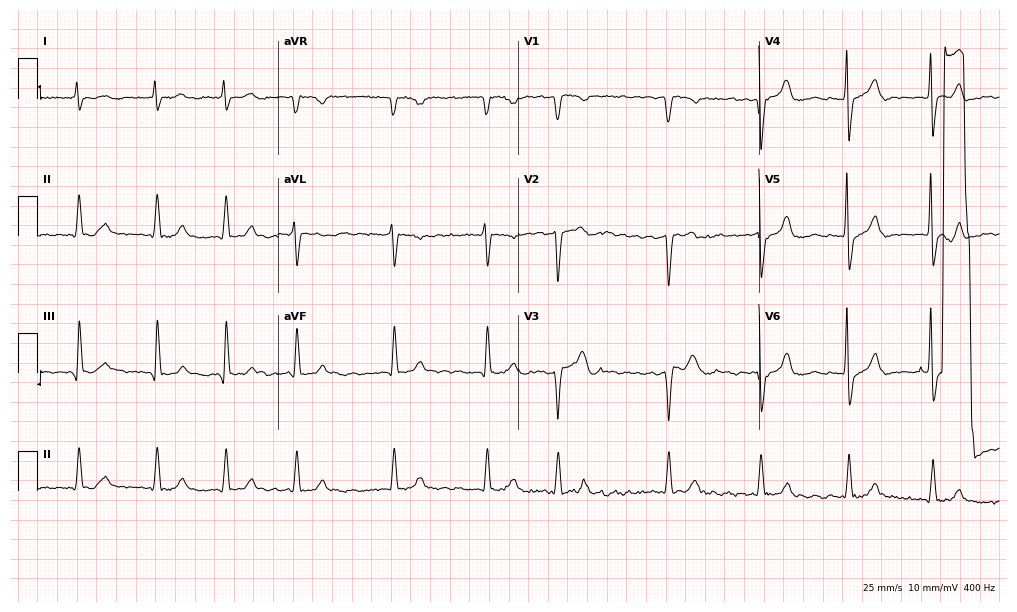
ECG — a 68-year-old male patient. Findings include atrial fibrillation.